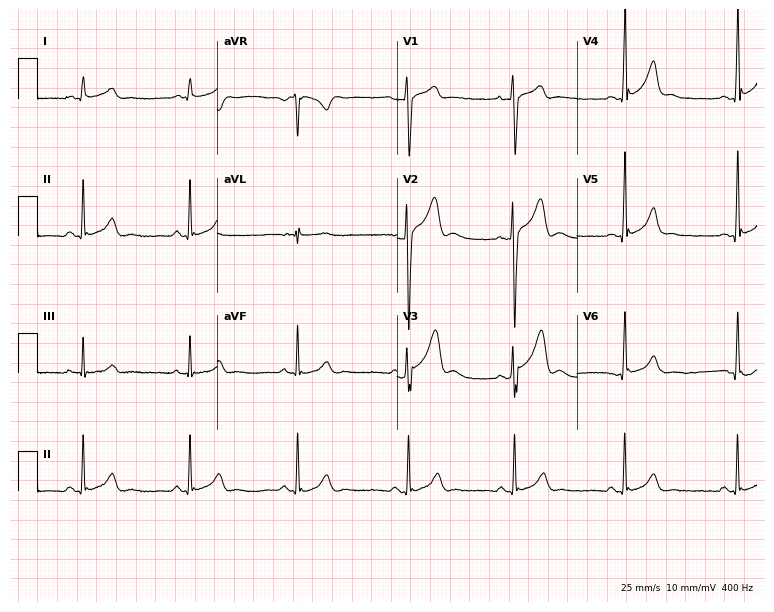
12-lead ECG (7.3-second recording at 400 Hz) from a 26-year-old male. Labelled as a normal ECG.